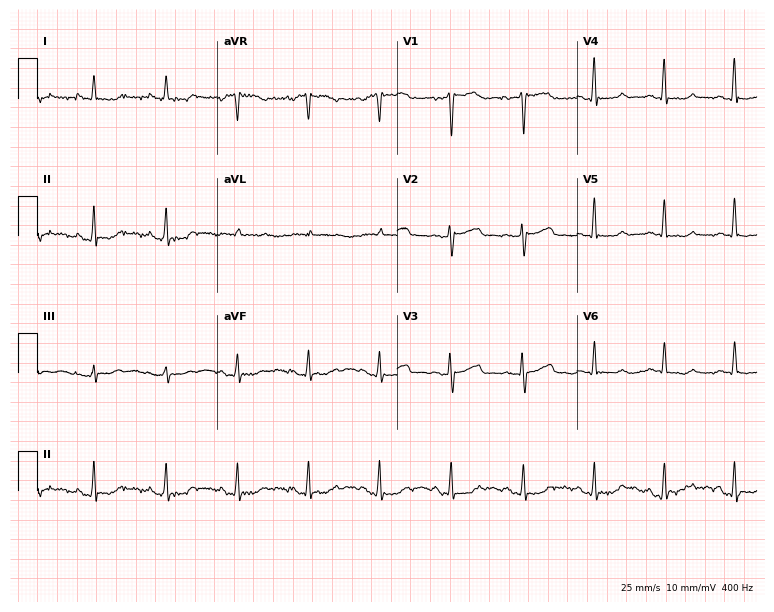
Electrocardiogram, a female, 47 years old. Of the six screened findings (first-degree AV block, right bundle branch block, left bundle branch block, sinus bradycardia, atrial fibrillation, sinus tachycardia), none is recorded.